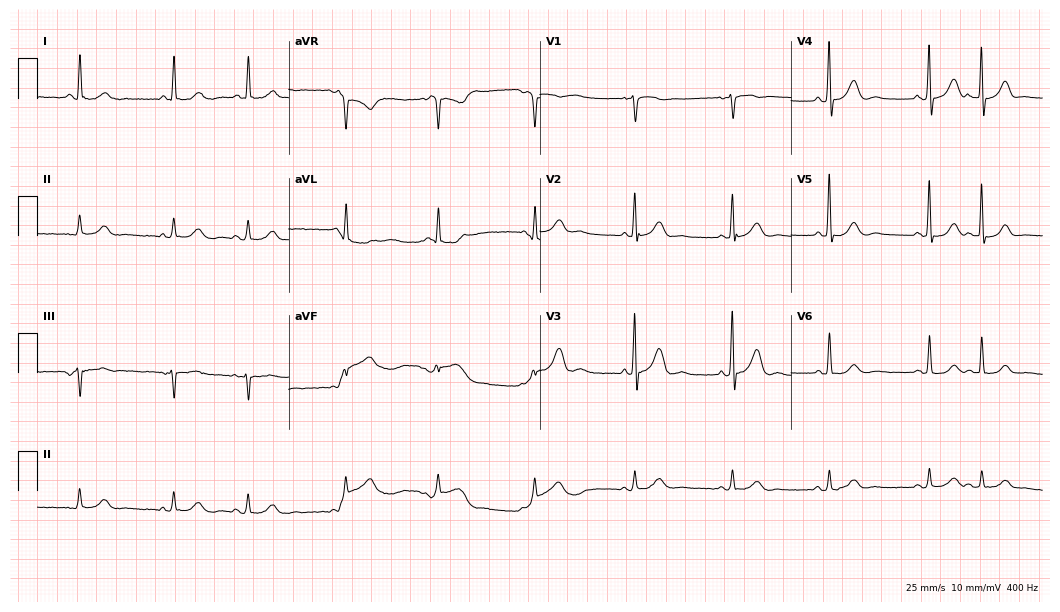
Resting 12-lead electrocardiogram. Patient: a male, 82 years old. None of these six findings is recorded: first-degree AV block, right bundle branch block, left bundle branch block, sinus bradycardia, atrial fibrillation, sinus tachycardia. Other findings, if any, are not listed.